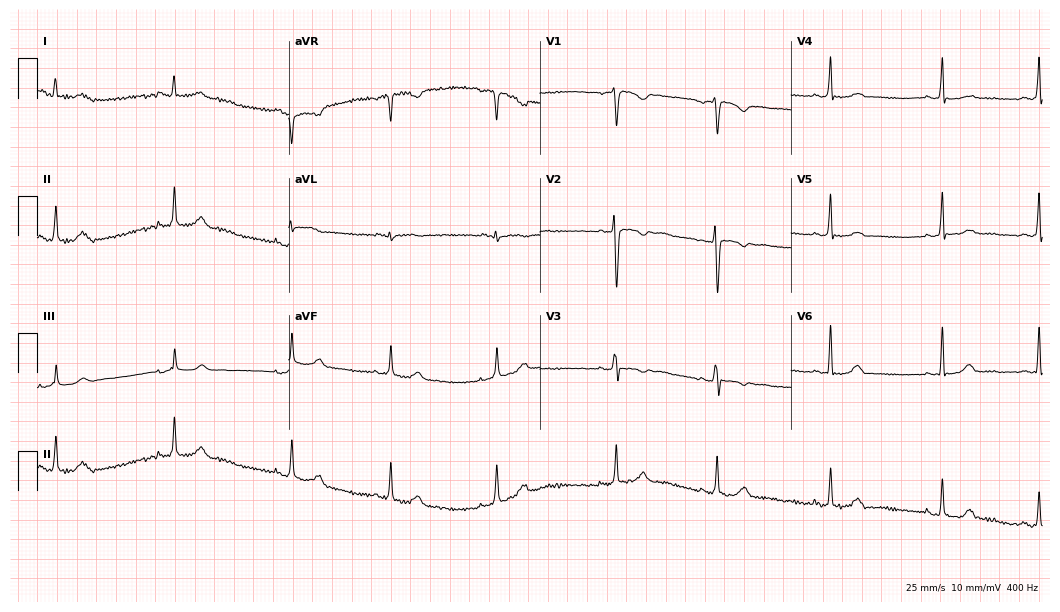
Electrocardiogram (10.2-second recording at 400 Hz), a female patient, 18 years old. Of the six screened findings (first-degree AV block, right bundle branch block, left bundle branch block, sinus bradycardia, atrial fibrillation, sinus tachycardia), none is recorded.